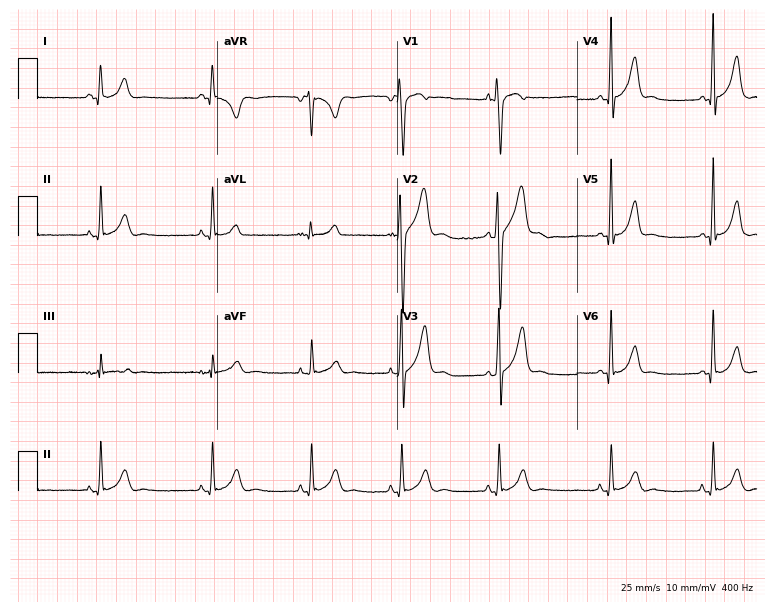
12-lead ECG from a 24-year-old man (7.3-second recording at 400 Hz). No first-degree AV block, right bundle branch block, left bundle branch block, sinus bradycardia, atrial fibrillation or sinus tachycardia recorded for this tracing. Findings outside these six are not listed.